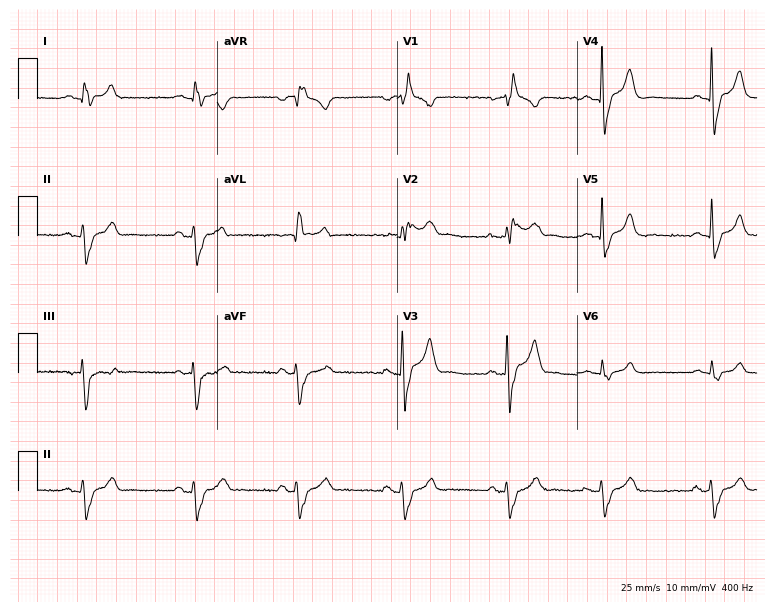
ECG (7.3-second recording at 400 Hz) — a male patient, 75 years old. Findings include right bundle branch block.